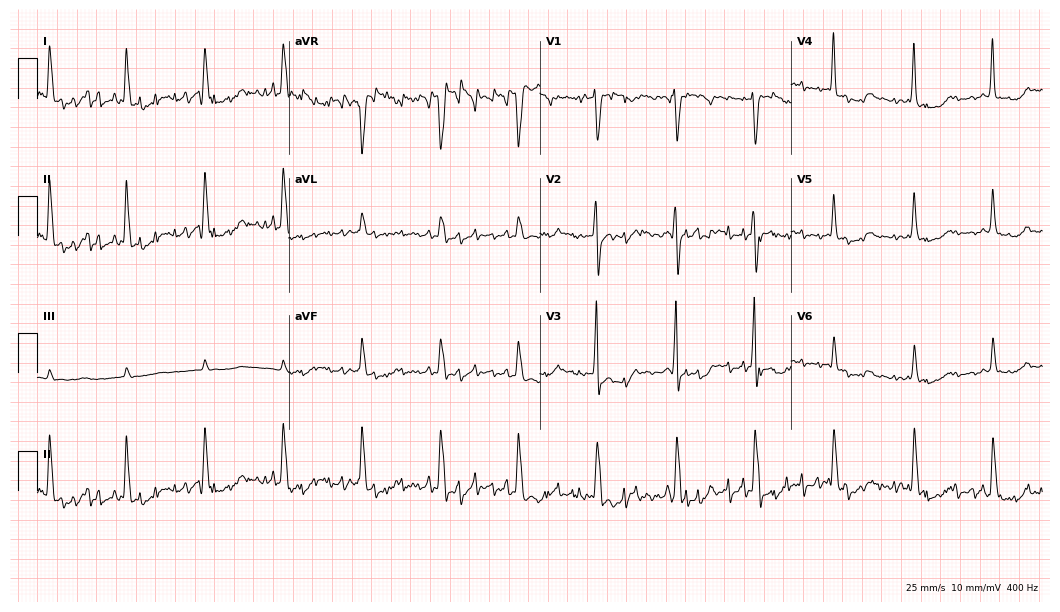
Standard 12-lead ECG recorded from a female patient, 86 years old. None of these six findings is recorded: first-degree AV block, right bundle branch block, left bundle branch block, sinus bradycardia, atrial fibrillation, sinus tachycardia. Other findings, if any, are not listed.